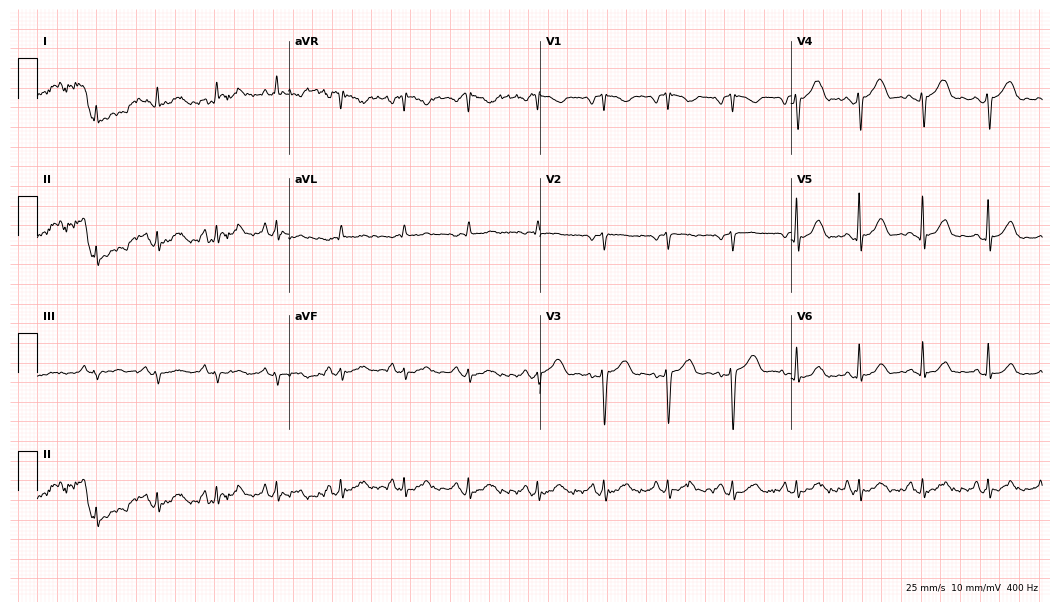
Electrocardiogram (10.2-second recording at 400 Hz), a woman, 27 years old. Of the six screened findings (first-degree AV block, right bundle branch block, left bundle branch block, sinus bradycardia, atrial fibrillation, sinus tachycardia), none is recorded.